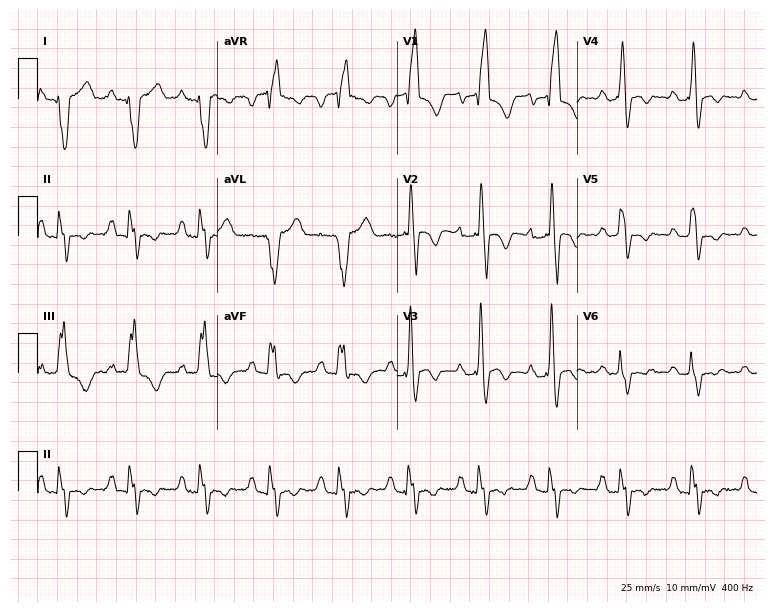
Resting 12-lead electrocardiogram. Patient: a 20-year-old male. None of these six findings is recorded: first-degree AV block, right bundle branch block, left bundle branch block, sinus bradycardia, atrial fibrillation, sinus tachycardia. Only these six findings were labelled.